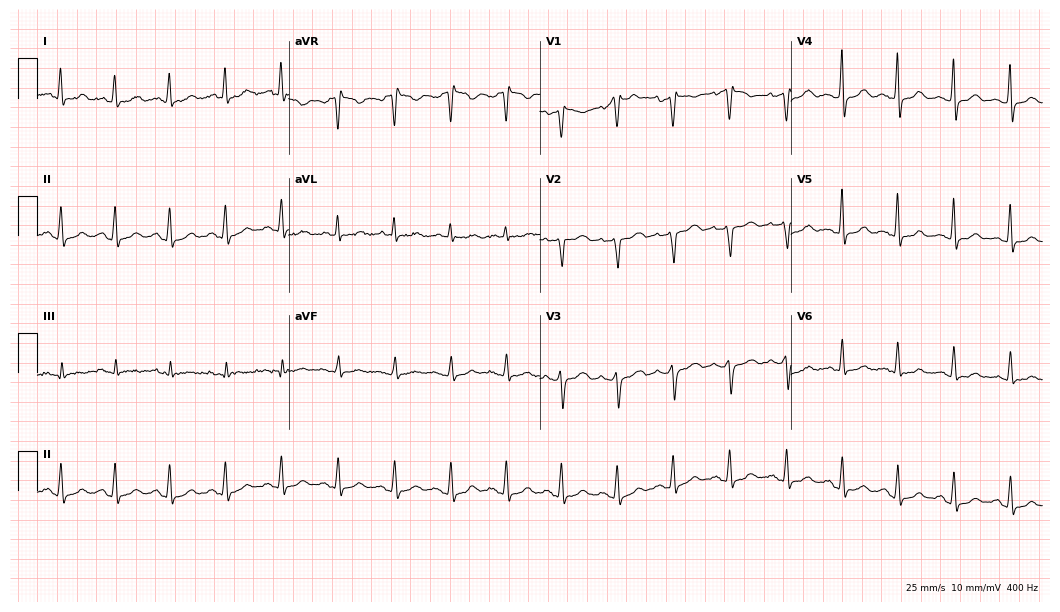
Standard 12-lead ECG recorded from a woman, 41 years old. None of these six findings is recorded: first-degree AV block, right bundle branch block (RBBB), left bundle branch block (LBBB), sinus bradycardia, atrial fibrillation (AF), sinus tachycardia.